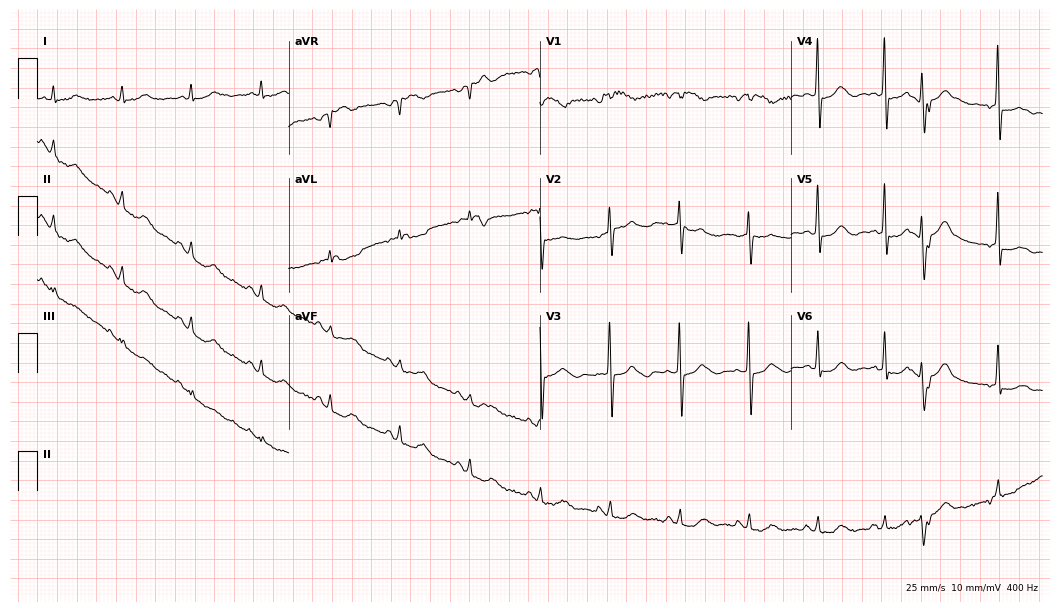
Resting 12-lead electrocardiogram. Patient: an 83-year-old female. Read as a normal ECG.